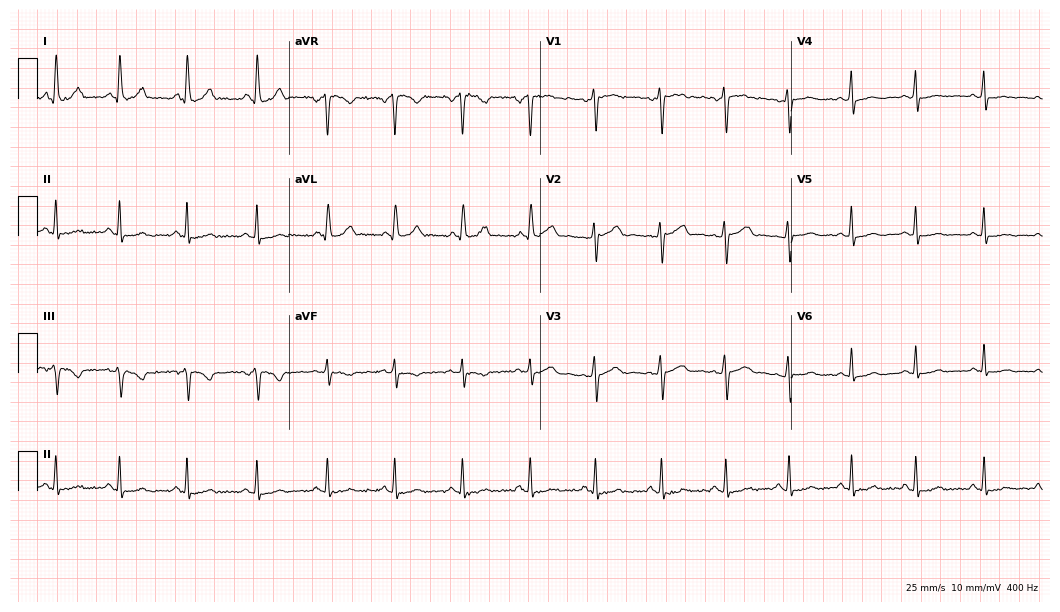
12-lead ECG (10.2-second recording at 400 Hz) from a female, 36 years old. Screened for six findings — first-degree AV block, right bundle branch block, left bundle branch block, sinus bradycardia, atrial fibrillation, sinus tachycardia — none is recorded.